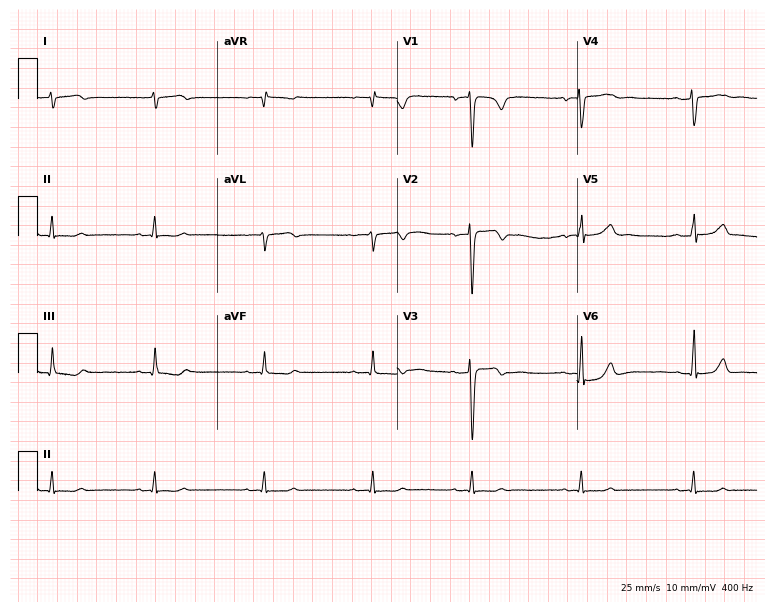
Standard 12-lead ECG recorded from a woman, 41 years old. None of these six findings is recorded: first-degree AV block, right bundle branch block (RBBB), left bundle branch block (LBBB), sinus bradycardia, atrial fibrillation (AF), sinus tachycardia.